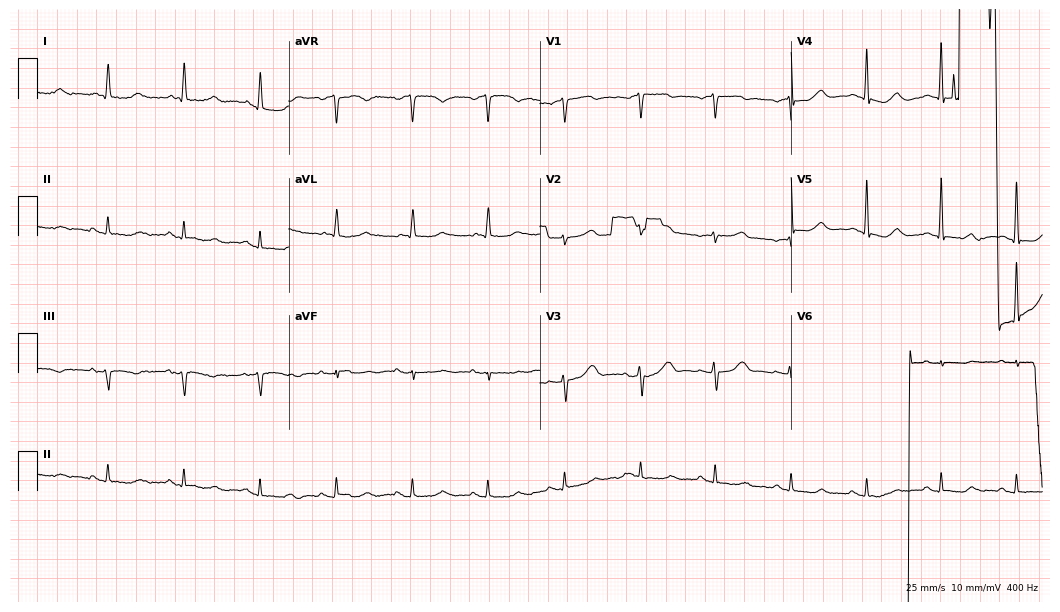
ECG (10.2-second recording at 400 Hz) — a 72-year-old female patient. Screened for six findings — first-degree AV block, right bundle branch block (RBBB), left bundle branch block (LBBB), sinus bradycardia, atrial fibrillation (AF), sinus tachycardia — none is recorded. Only these six findings were labelled.